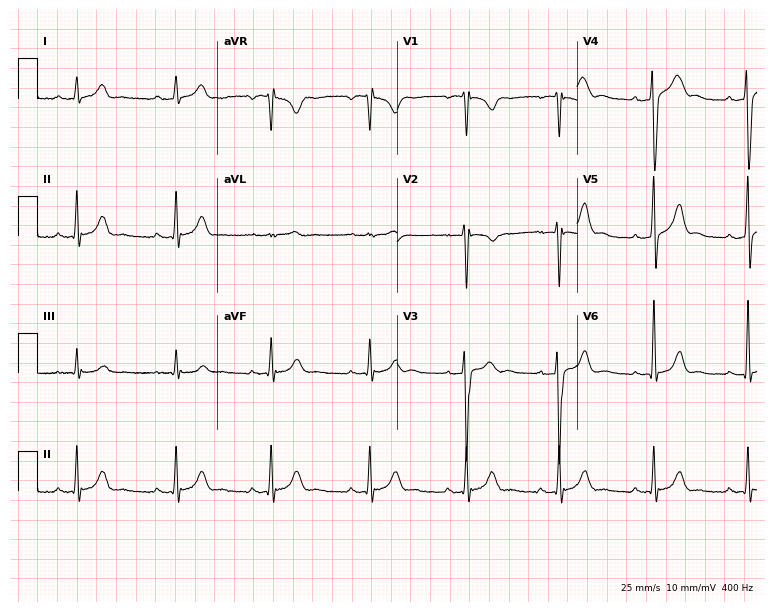
Electrocardiogram (7.3-second recording at 400 Hz), a male, 26 years old. Overall reading on record: normal ECG.